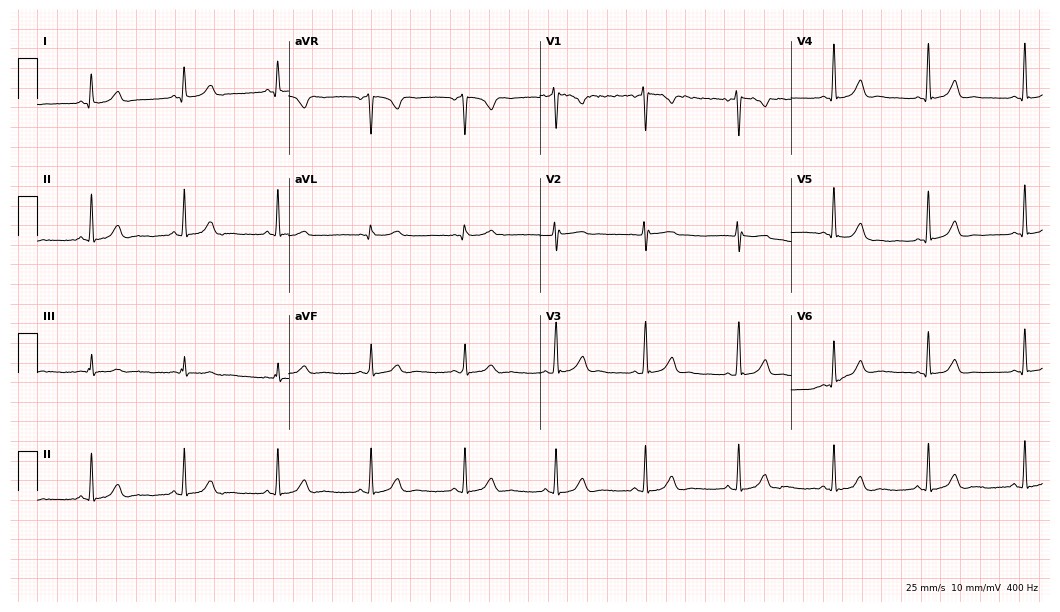
12-lead ECG from a female patient, 35 years old. Recorded interpretation: within normal limits.